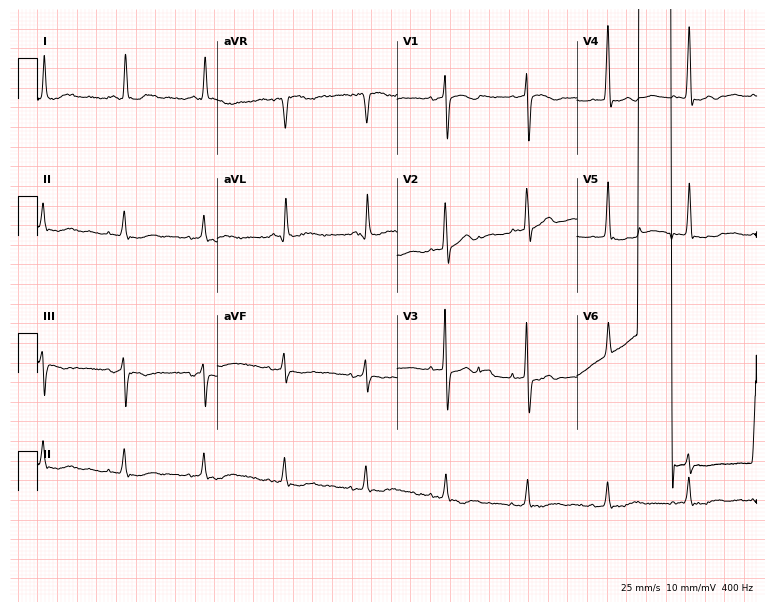
ECG — an 81-year-old woman. Screened for six findings — first-degree AV block, right bundle branch block, left bundle branch block, sinus bradycardia, atrial fibrillation, sinus tachycardia — none is recorded.